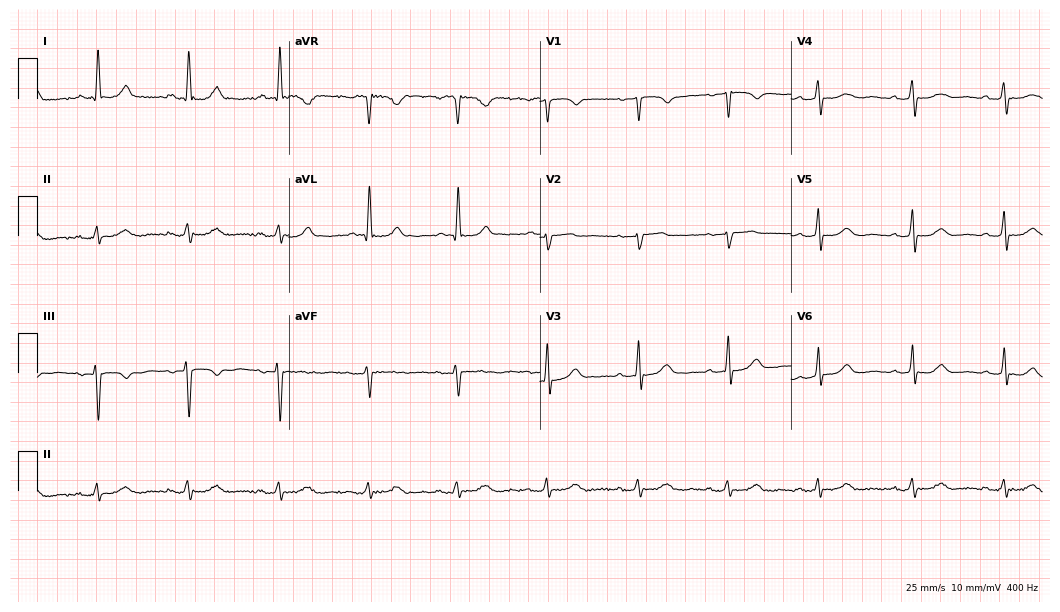
Standard 12-lead ECG recorded from a female patient, 68 years old (10.2-second recording at 400 Hz). Read as a normal ECG.